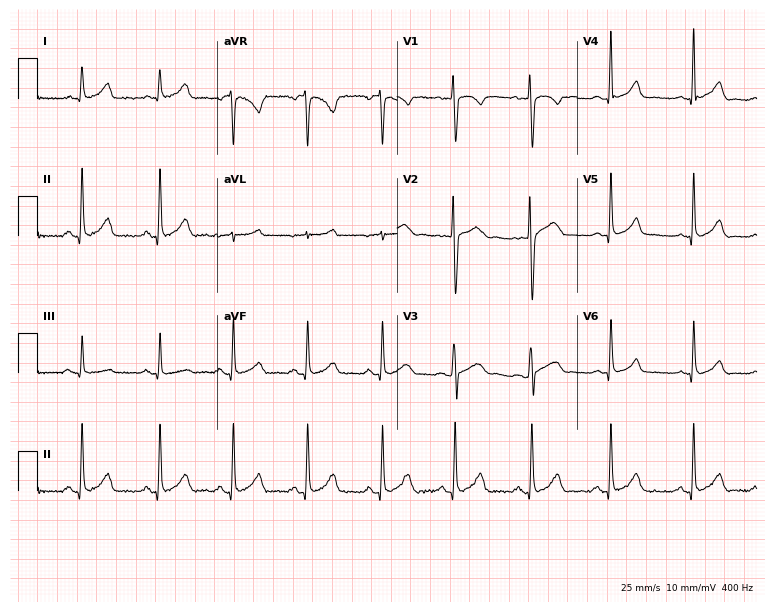
12-lead ECG (7.3-second recording at 400 Hz) from a female patient, 27 years old. Labelled as a normal ECG.